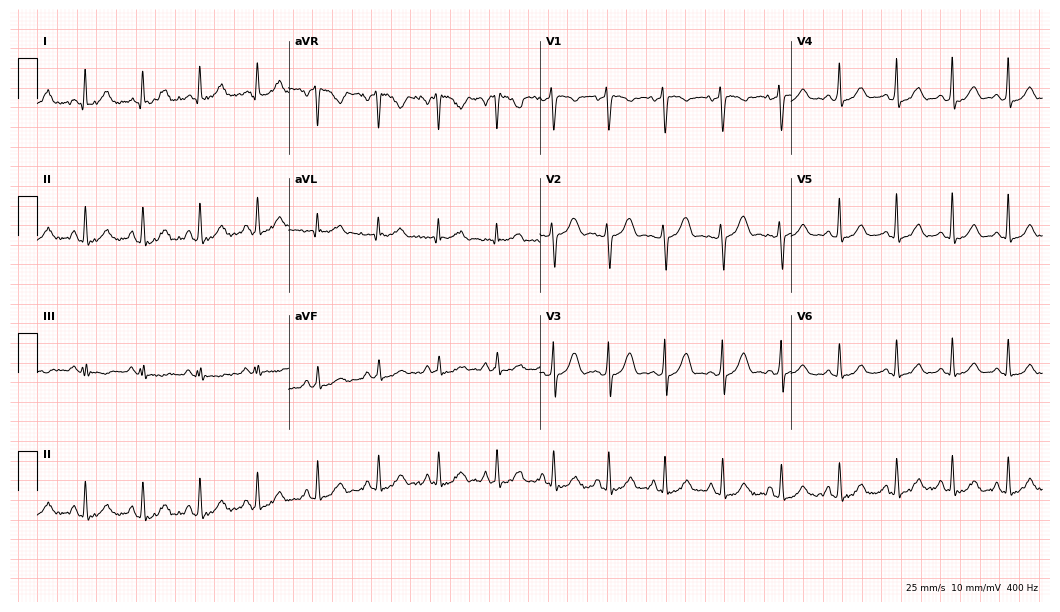
Standard 12-lead ECG recorded from a female, 34 years old (10.2-second recording at 400 Hz). The tracing shows sinus tachycardia (a sinus rate of 100 beats per minute or more).